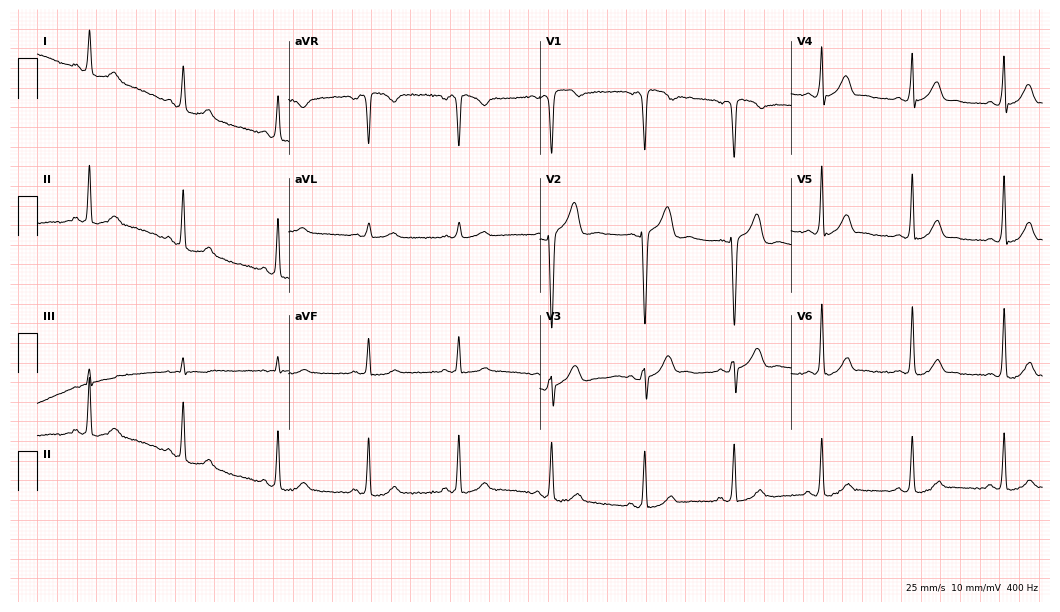
12-lead ECG from a 26-year-old male. Recorded interpretation: within normal limits.